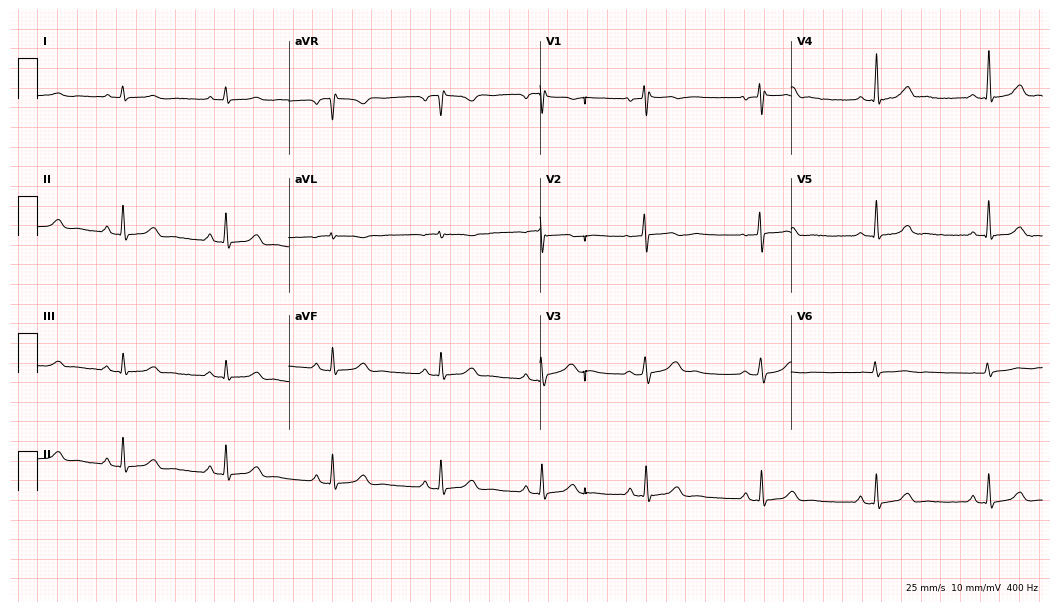
12-lead ECG from a female patient, 23 years old. Screened for six findings — first-degree AV block, right bundle branch block, left bundle branch block, sinus bradycardia, atrial fibrillation, sinus tachycardia — none is recorded.